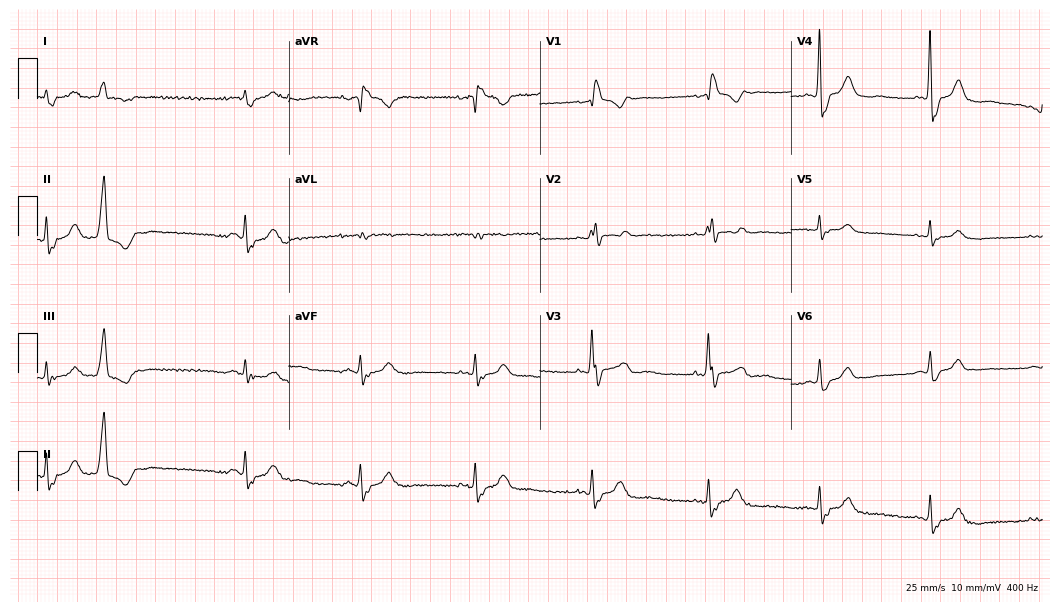
12-lead ECG from a 79-year-old male patient (10.2-second recording at 400 Hz). Shows right bundle branch block (RBBB).